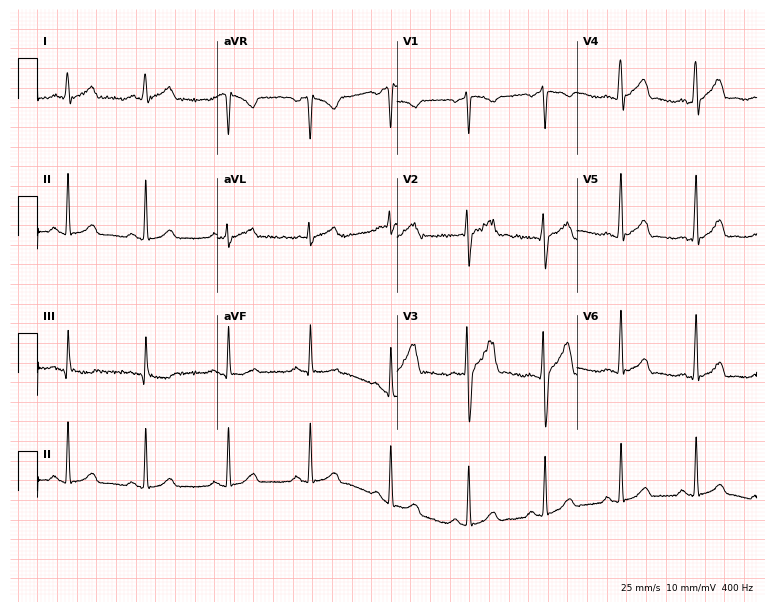
ECG (7.3-second recording at 400 Hz) — a 26-year-old male. Screened for six findings — first-degree AV block, right bundle branch block, left bundle branch block, sinus bradycardia, atrial fibrillation, sinus tachycardia — none is recorded. Only these six findings were labelled.